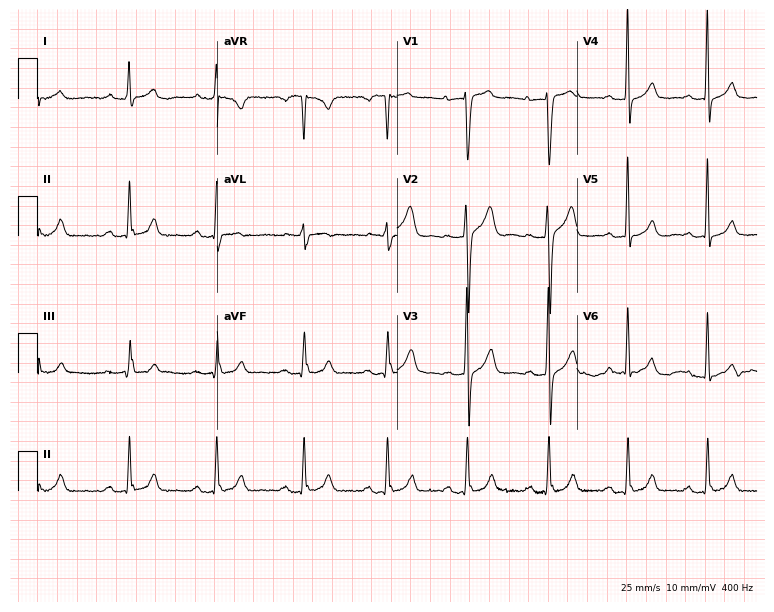
Electrocardiogram, a male, 32 years old. Overall reading on record: normal ECG.